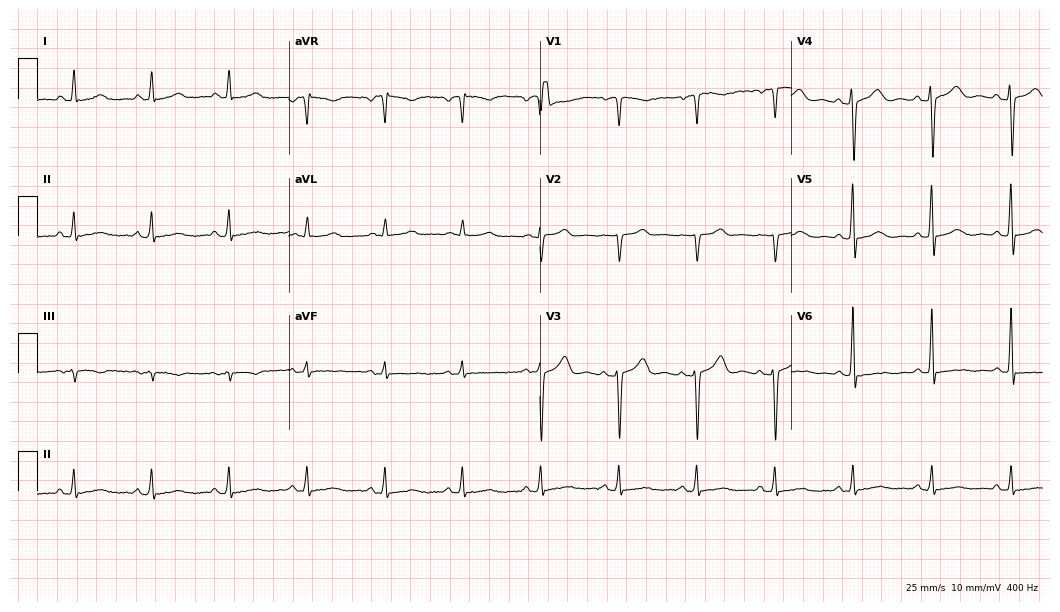
Standard 12-lead ECG recorded from a female, 55 years old (10.2-second recording at 400 Hz). None of these six findings is recorded: first-degree AV block, right bundle branch block, left bundle branch block, sinus bradycardia, atrial fibrillation, sinus tachycardia. Other findings, if any, are not listed.